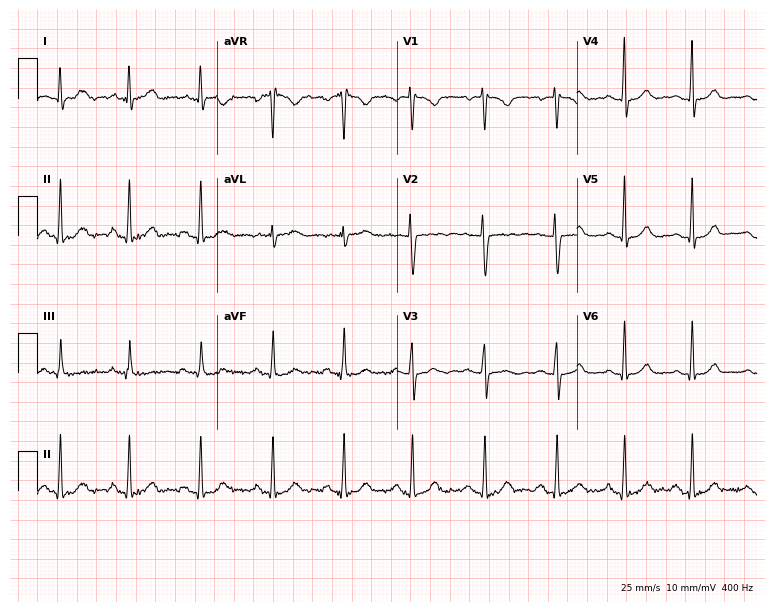
Resting 12-lead electrocardiogram. Patient: a woman, 29 years old. Read as a normal ECG.